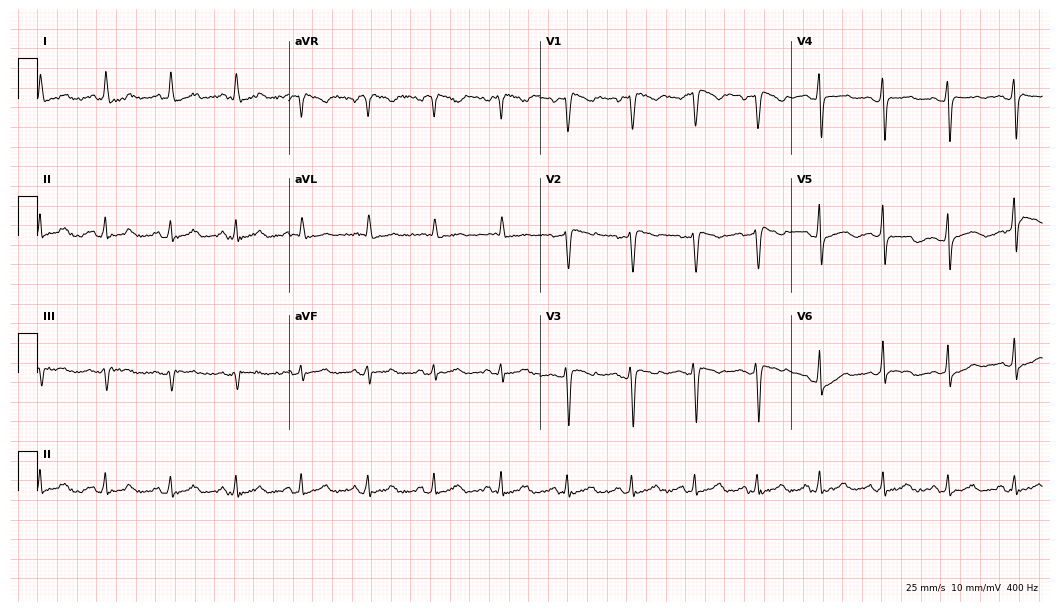
12-lead ECG from a 45-year-old woman. No first-degree AV block, right bundle branch block, left bundle branch block, sinus bradycardia, atrial fibrillation or sinus tachycardia recorded for this tracing.